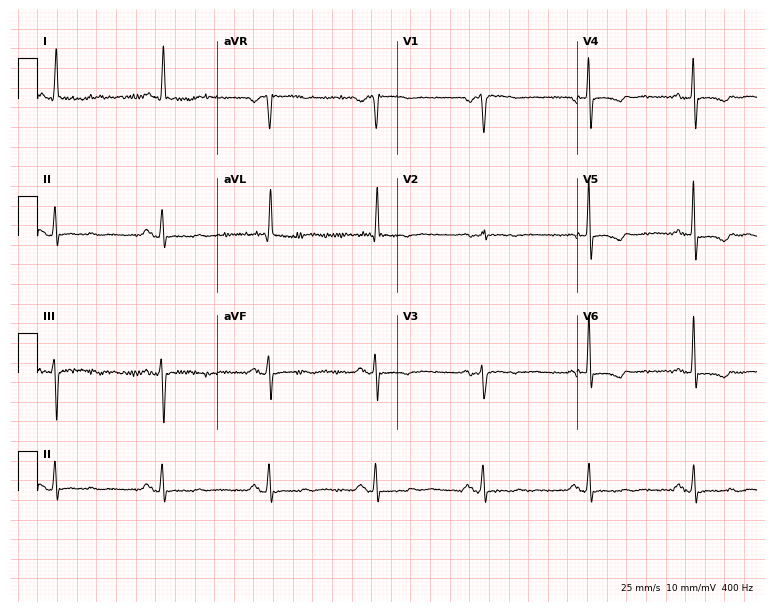
Resting 12-lead electrocardiogram (7.3-second recording at 400 Hz). Patient: a 54-year-old female. None of these six findings is recorded: first-degree AV block, right bundle branch block, left bundle branch block, sinus bradycardia, atrial fibrillation, sinus tachycardia. Other findings, if any, are not listed.